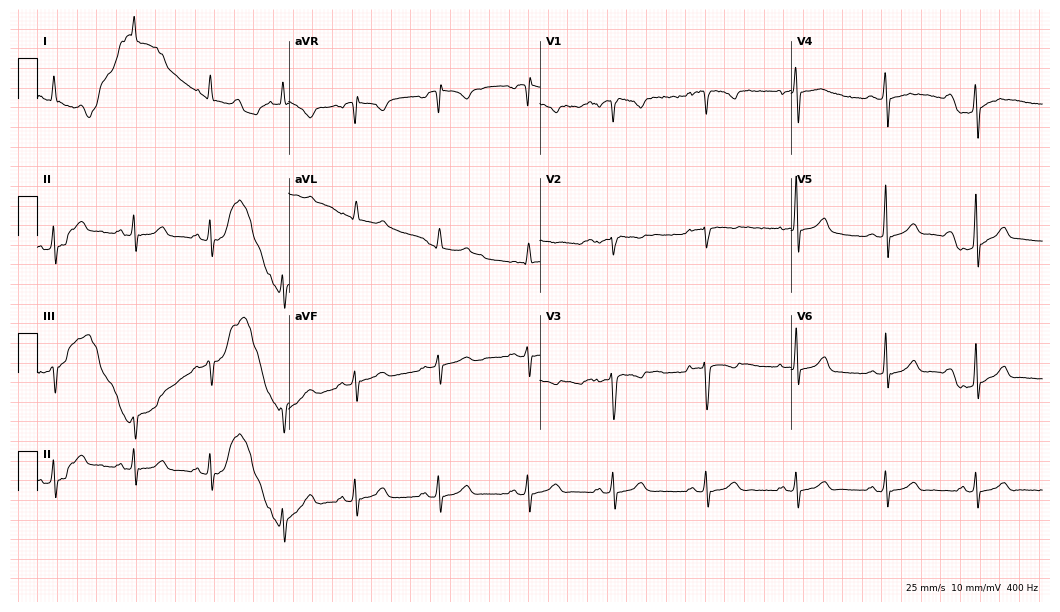
ECG (10.2-second recording at 400 Hz) — a 31-year-old woman. Labelled as a normal ECG.